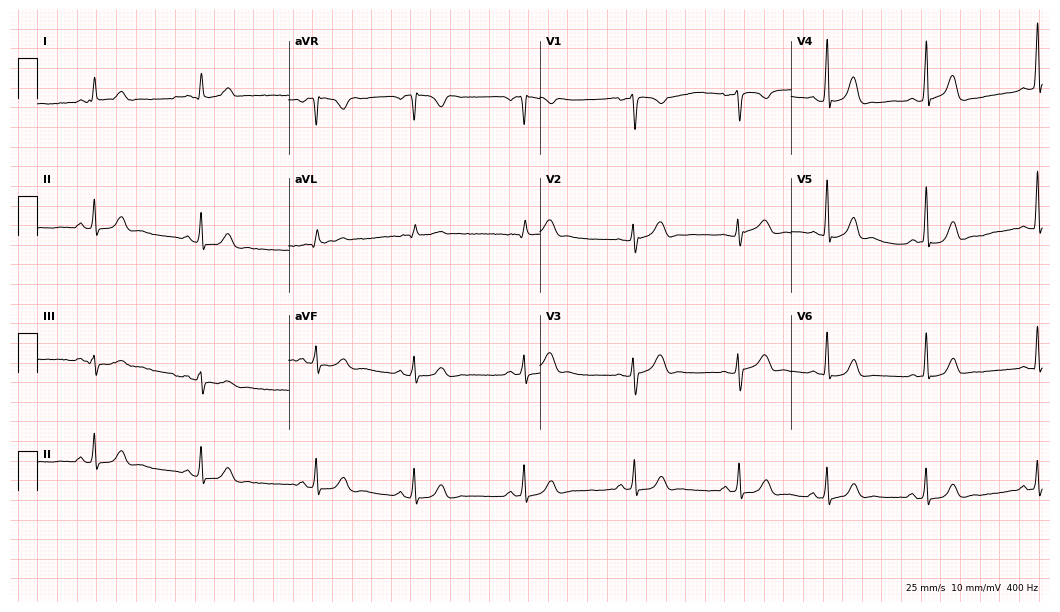
Standard 12-lead ECG recorded from a woman, 31 years old (10.2-second recording at 400 Hz). Read as a normal ECG.